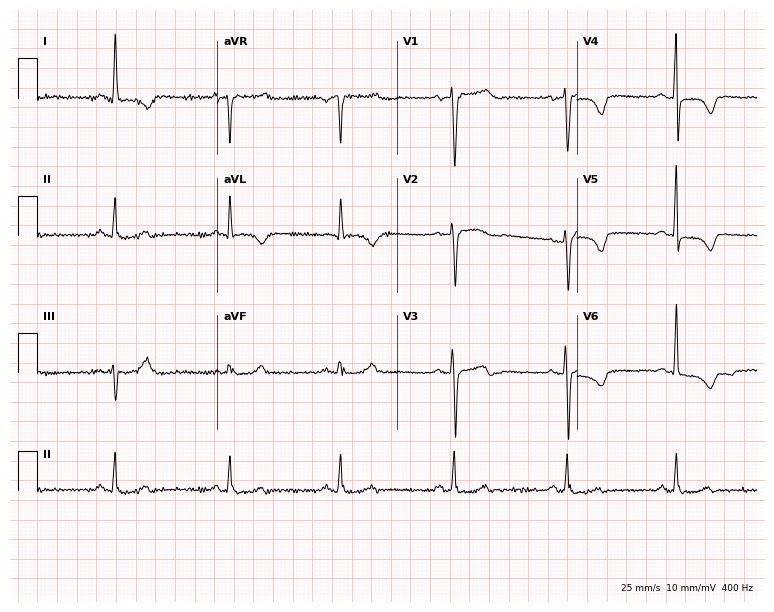
12-lead ECG from a 65-year-old female patient. No first-degree AV block, right bundle branch block (RBBB), left bundle branch block (LBBB), sinus bradycardia, atrial fibrillation (AF) or sinus tachycardia recorded for this tracing.